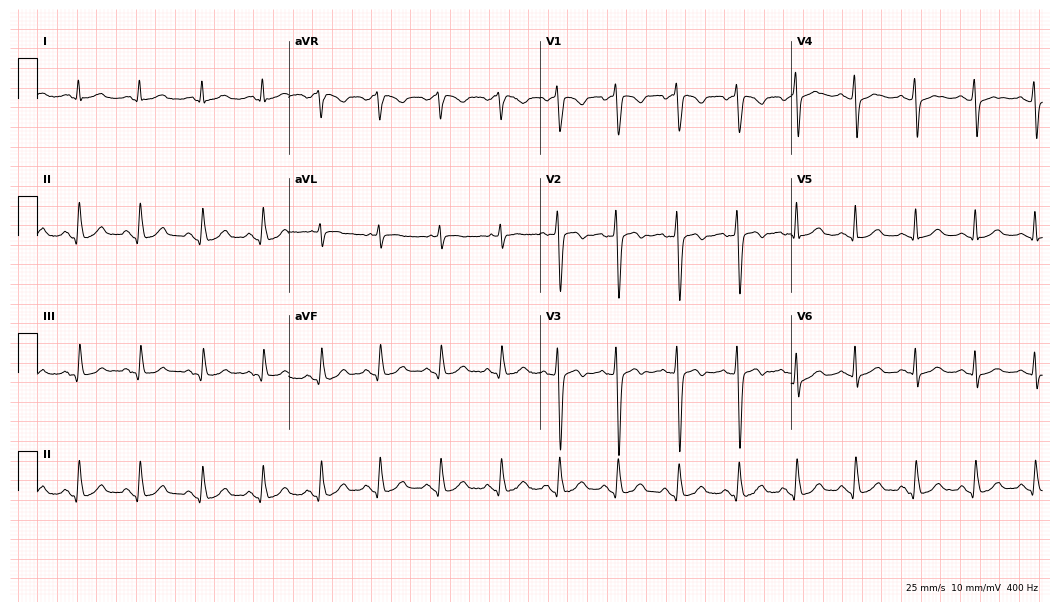
ECG — a 31-year-old female patient. Labelled as a normal ECG.